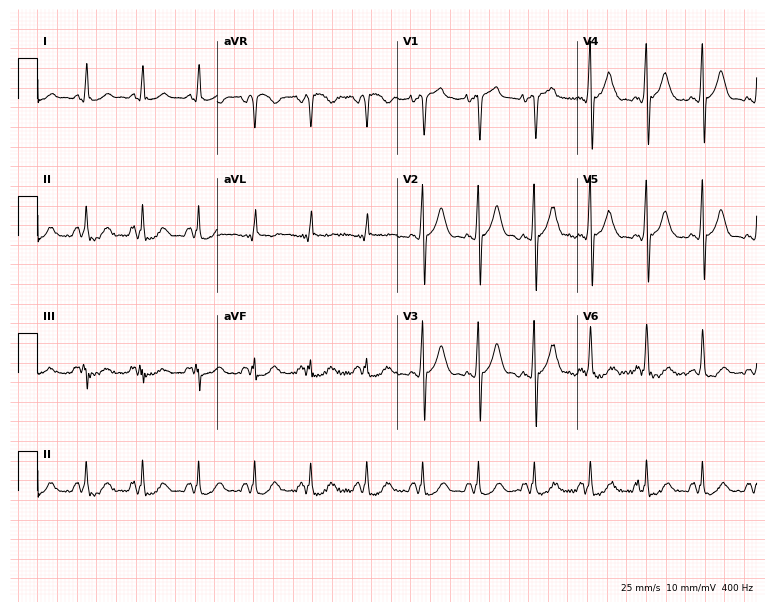
ECG — a male patient, 64 years old. Findings include sinus tachycardia (a sinus rate of 100 beats per minute or more).